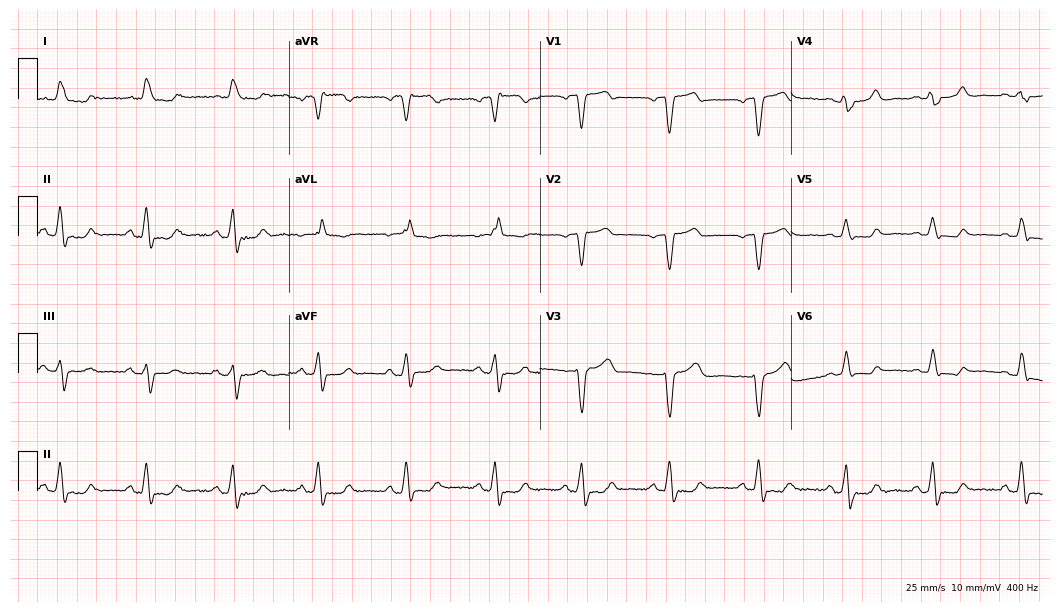
Electrocardiogram (10.2-second recording at 400 Hz), a 78-year-old female patient. Of the six screened findings (first-degree AV block, right bundle branch block, left bundle branch block, sinus bradycardia, atrial fibrillation, sinus tachycardia), none is recorded. Other findings, if any, are not listed.